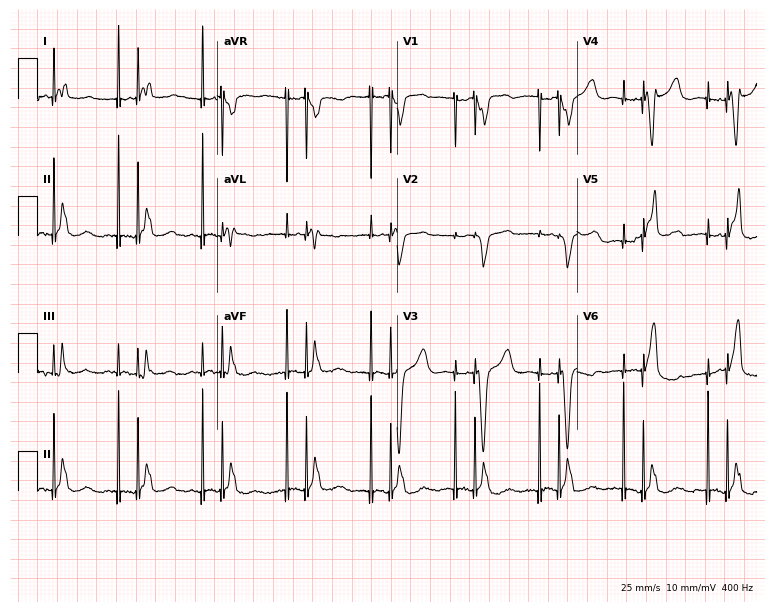
Standard 12-lead ECG recorded from a male patient, 73 years old. None of these six findings is recorded: first-degree AV block, right bundle branch block (RBBB), left bundle branch block (LBBB), sinus bradycardia, atrial fibrillation (AF), sinus tachycardia.